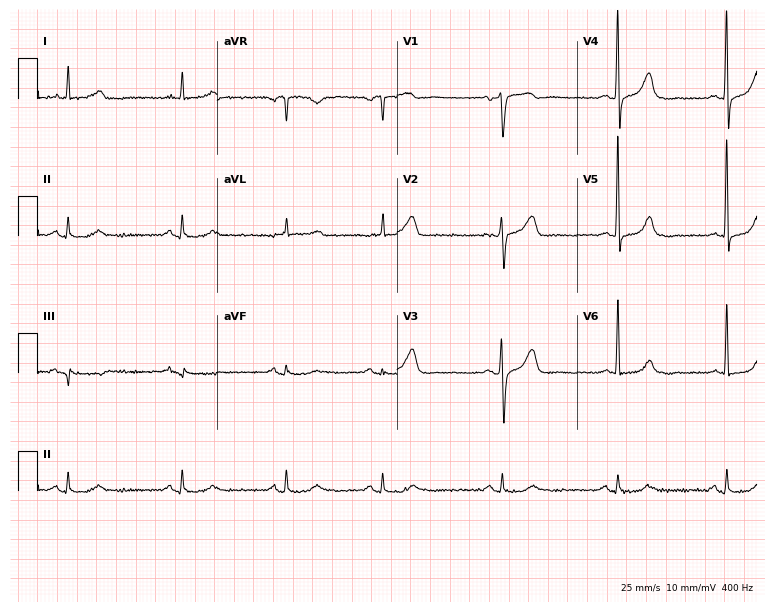
ECG — an 81-year-old male patient. Labelled as a normal ECG.